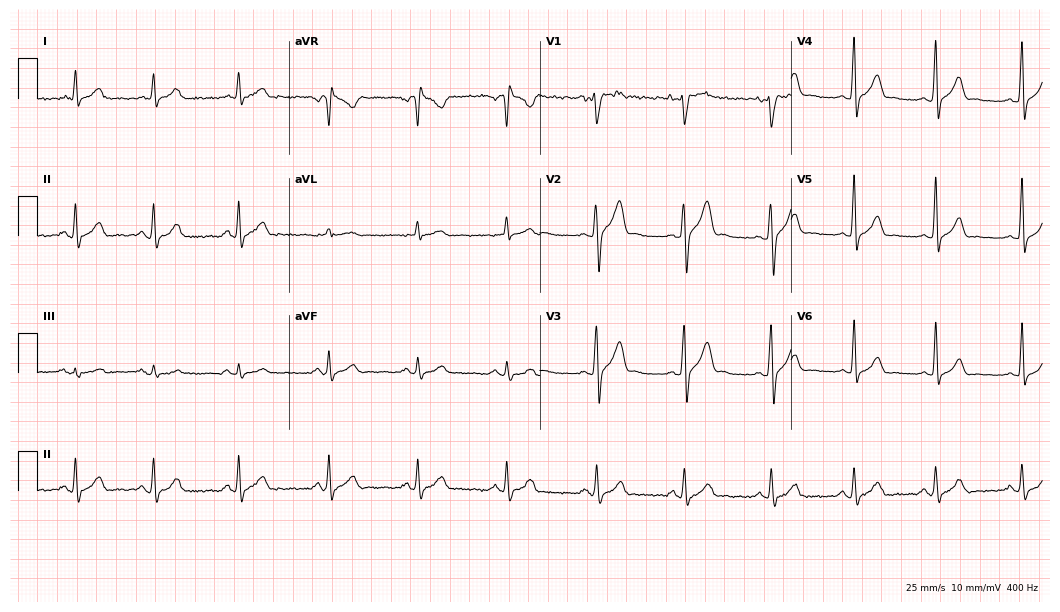
12-lead ECG from a man, 40 years old (10.2-second recording at 400 Hz). No first-degree AV block, right bundle branch block, left bundle branch block, sinus bradycardia, atrial fibrillation or sinus tachycardia recorded for this tracing.